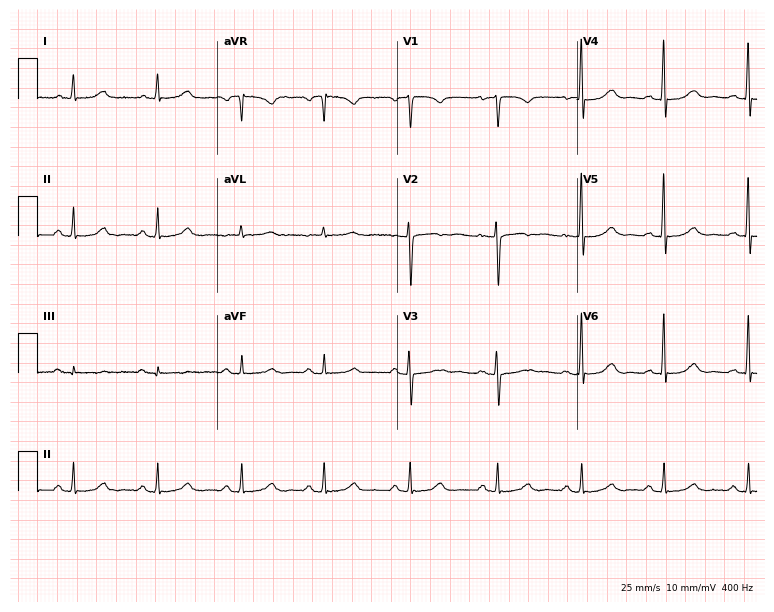
Resting 12-lead electrocardiogram (7.3-second recording at 400 Hz). Patient: a 64-year-old female. Read as a normal ECG.